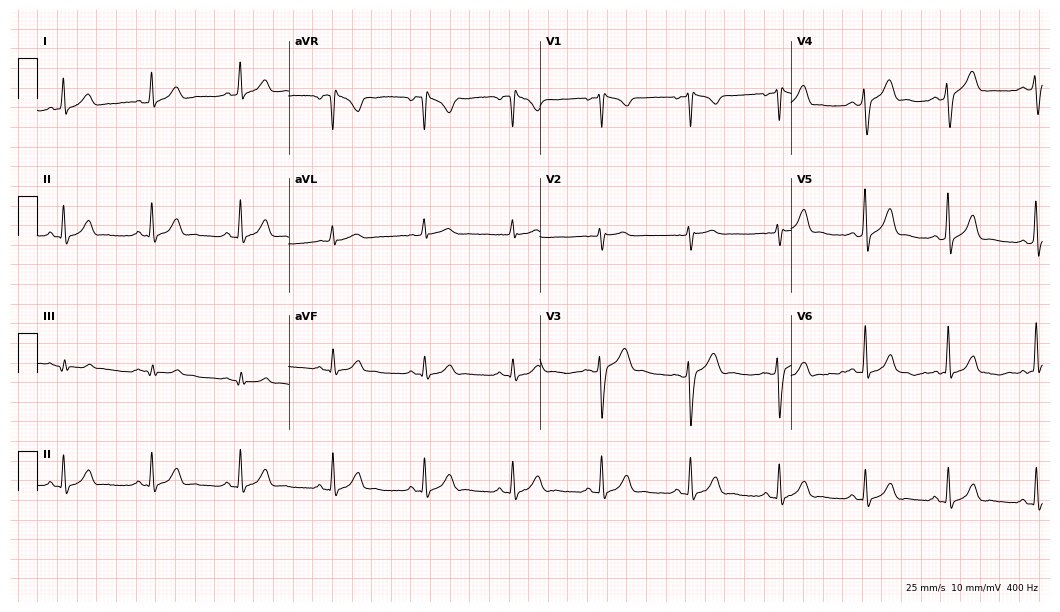
Electrocardiogram, a 25-year-old male. Overall reading on record: normal ECG.